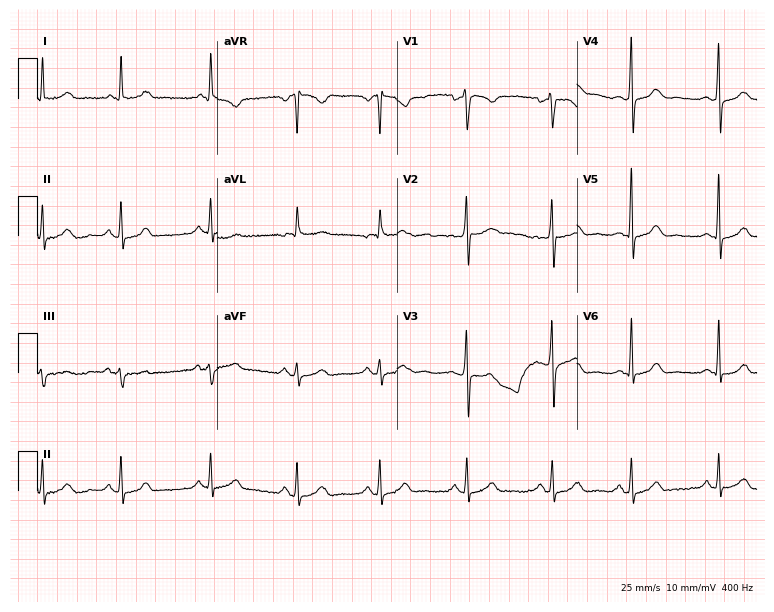
Resting 12-lead electrocardiogram. Patient: a female, 37 years old. Read as a normal ECG.